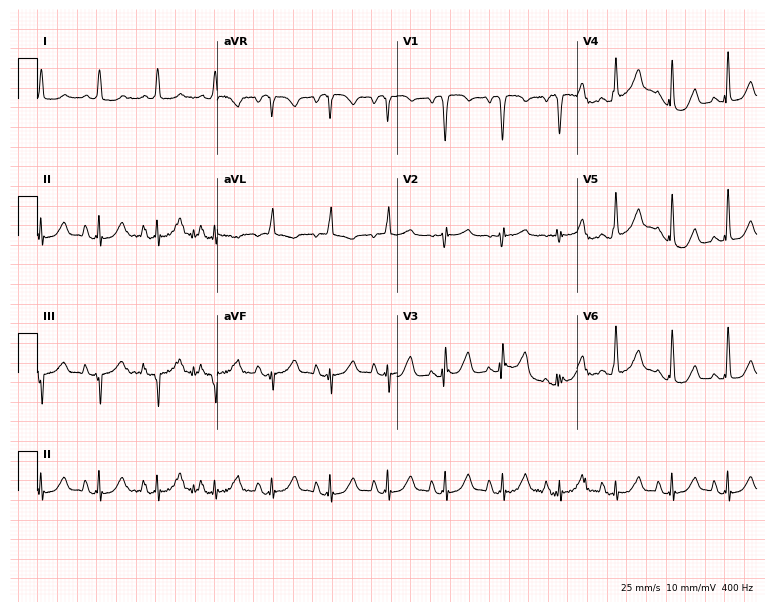
Resting 12-lead electrocardiogram. Patient: a man, 49 years old. The tracing shows sinus tachycardia (a sinus rate of 100 beats per minute or more).